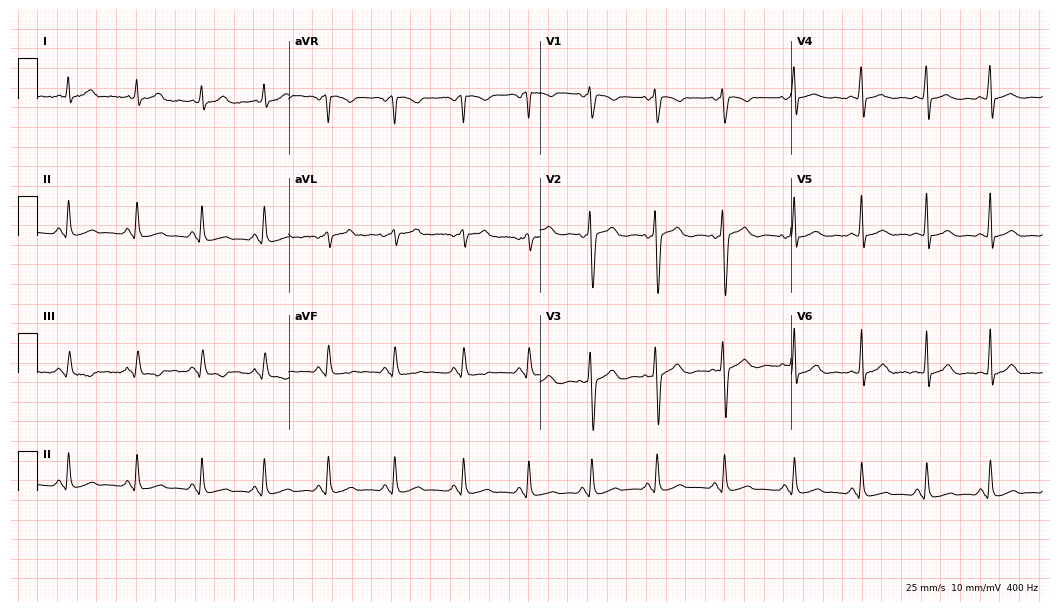
12-lead ECG (10.2-second recording at 400 Hz) from a 20-year-old female patient. Labelled as a normal ECG.